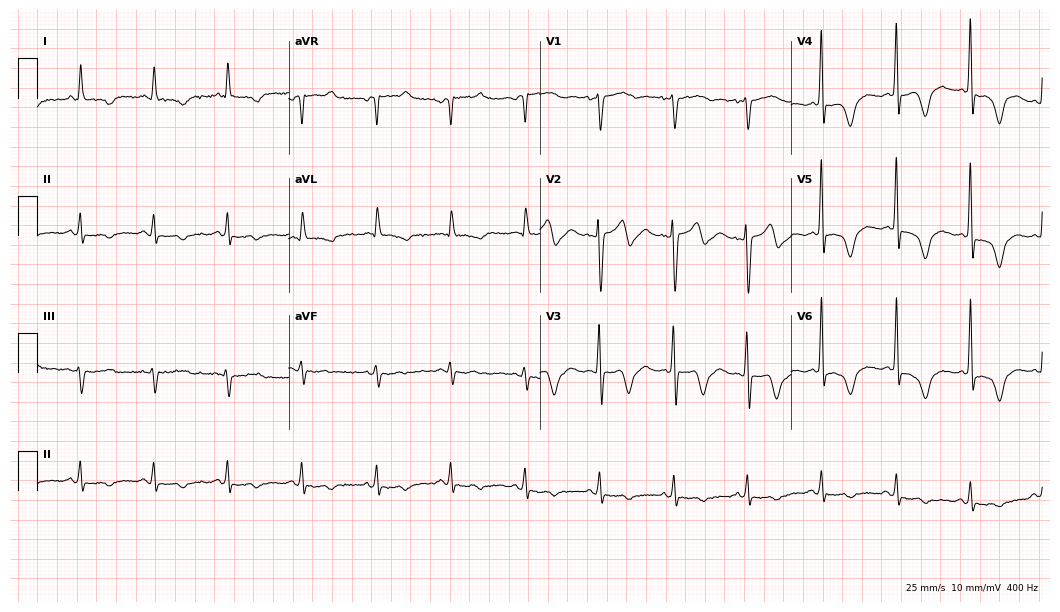
12-lead ECG (10.2-second recording at 400 Hz) from a woman, 80 years old. Screened for six findings — first-degree AV block, right bundle branch block, left bundle branch block, sinus bradycardia, atrial fibrillation, sinus tachycardia — none is recorded.